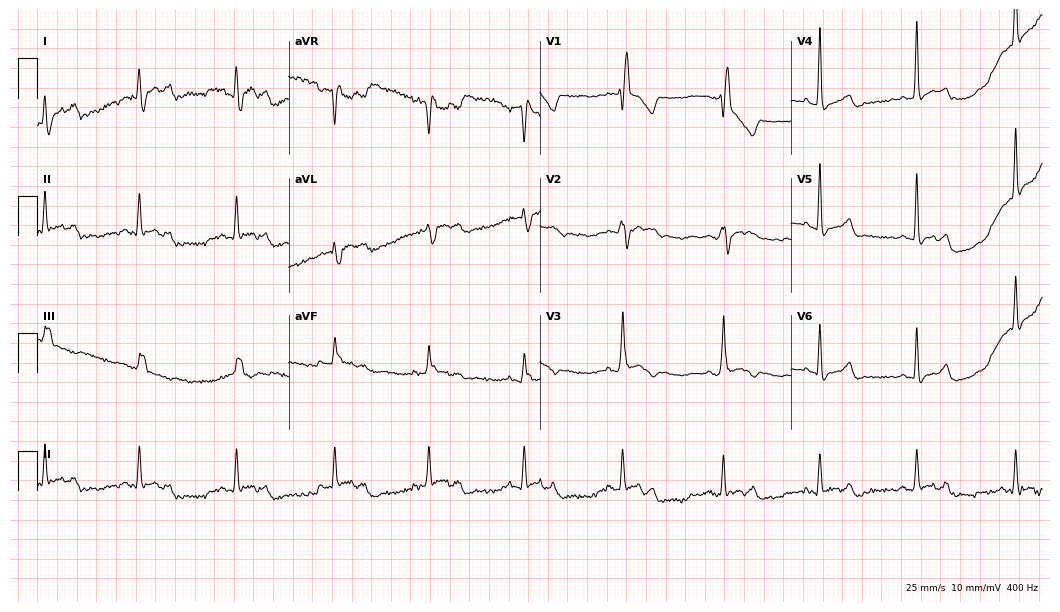
Standard 12-lead ECG recorded from a man, 49 years old. None of these six findings is recorded: first-degree AV block, right bundle branch block, left bundle branch block, sinus bradycardia, atrial fibrillation, sinus tachycardia.